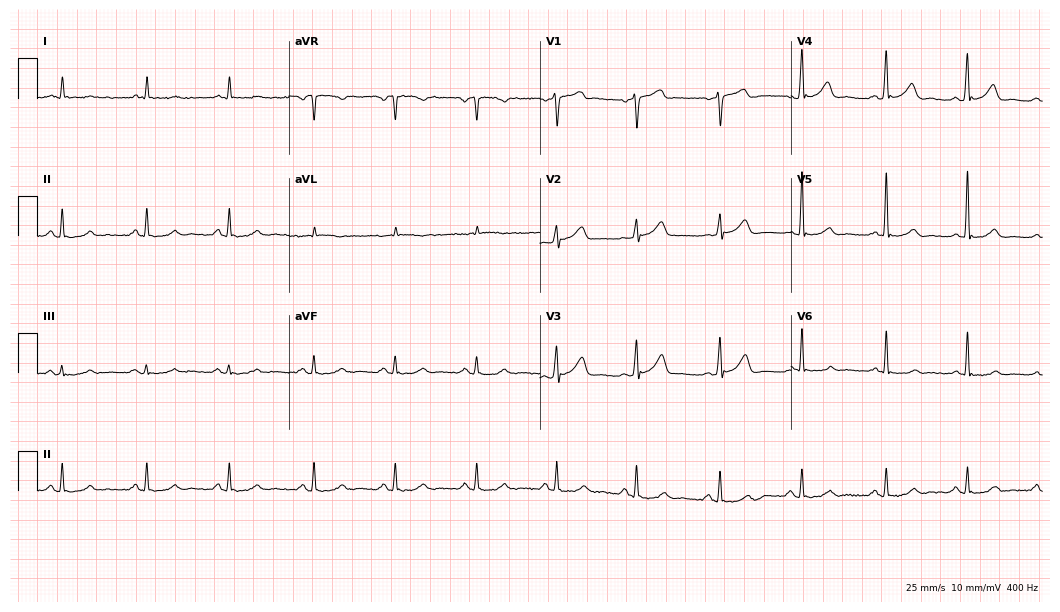
Electrocardiogram, a man, 71 years old. Of the six screened findings (first-degree AV block, right bundle branch block (RBBB), left bundle branch block (LBBB), sinus bradycardia, atrial fibrillation (AF), sinus tachycardia), none is recorded. Other findings, if any, are not listed.